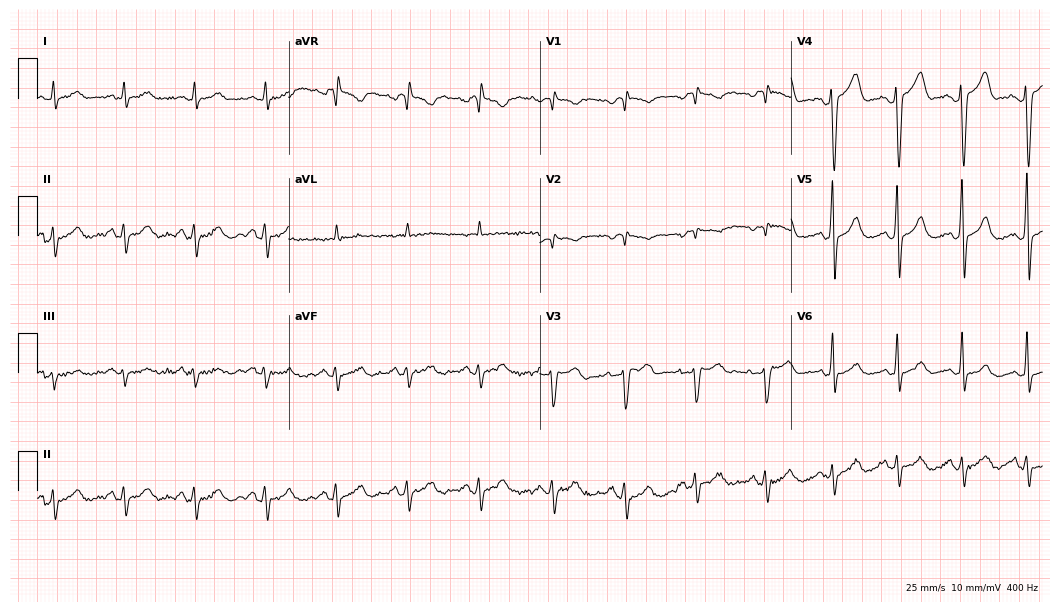
12-lead ECG from a 77-year-old man. Screened for six findings — first-degree AV block, right bundle branch block, left bundle branch block, sinus bradycardia, atrial fibrillation, sinus tachycardia — none is recorded. Other findings, if any, are not listed.